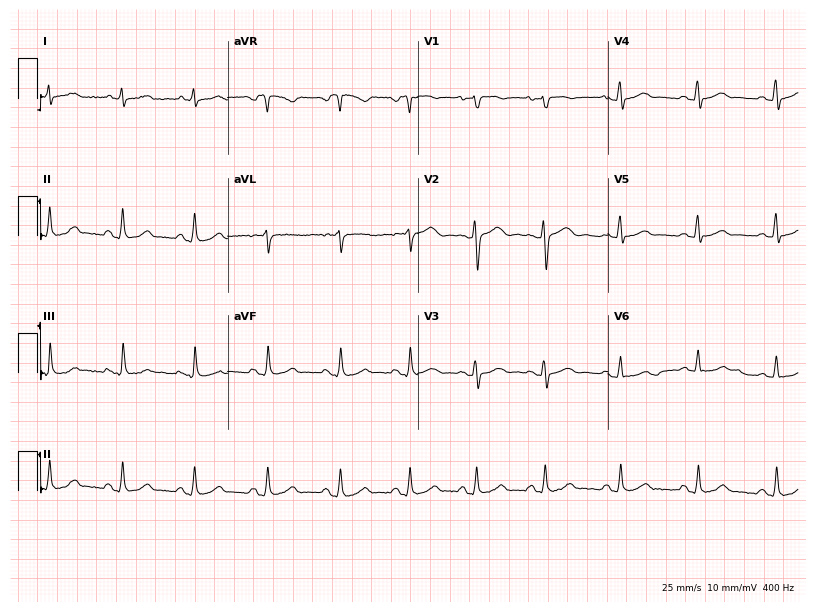
ECG (7.8-second recording at 400 Hz) — a woman, 51 years old. Screened for six findings — first-degree AV block, right bundle branch block, left bundle branch block, sinus bradycardia, atrial fibrillation, sinus tachycardia — none is recorded. Other findings, if any, are not listed.